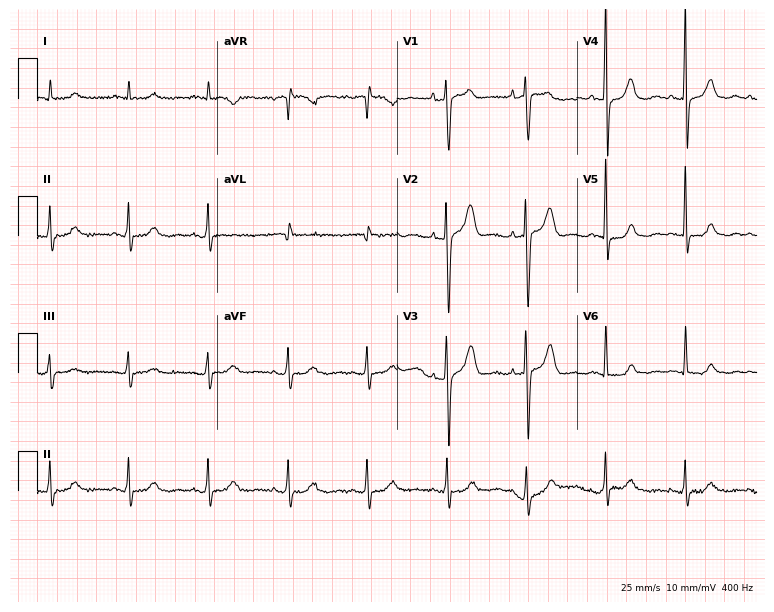
Resting 12-lead electrocardiogram. Patient: a female, 70 years old. Read as a normal ECG.